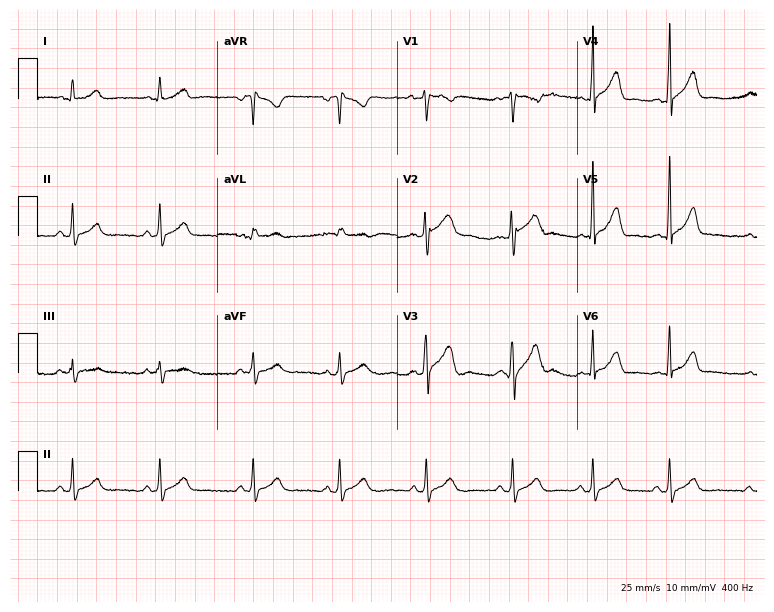
12-lead ECG from a man, 31 years old. Recorded interpretation: within normal limits.